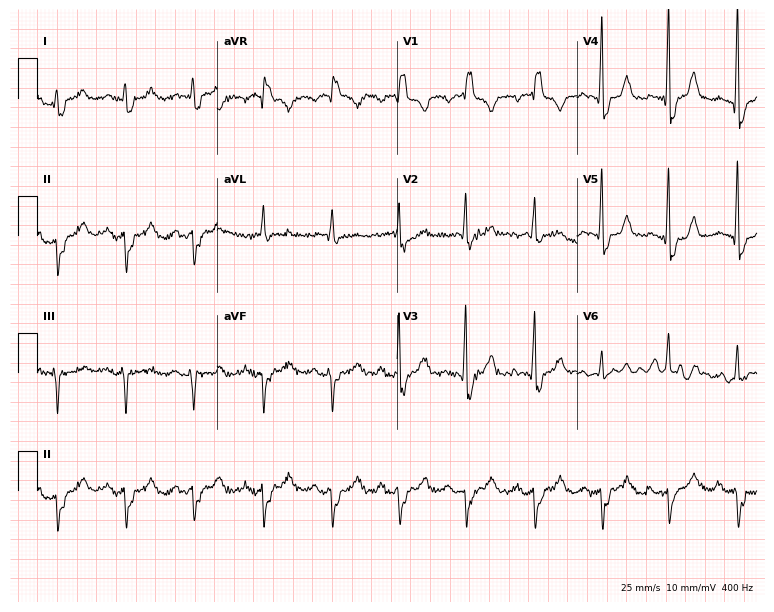
Standard 12-lead ECG recorded from a 74-year-old male (7.3-second recording at 400 Hz). The tracing shows right bundle branch block.